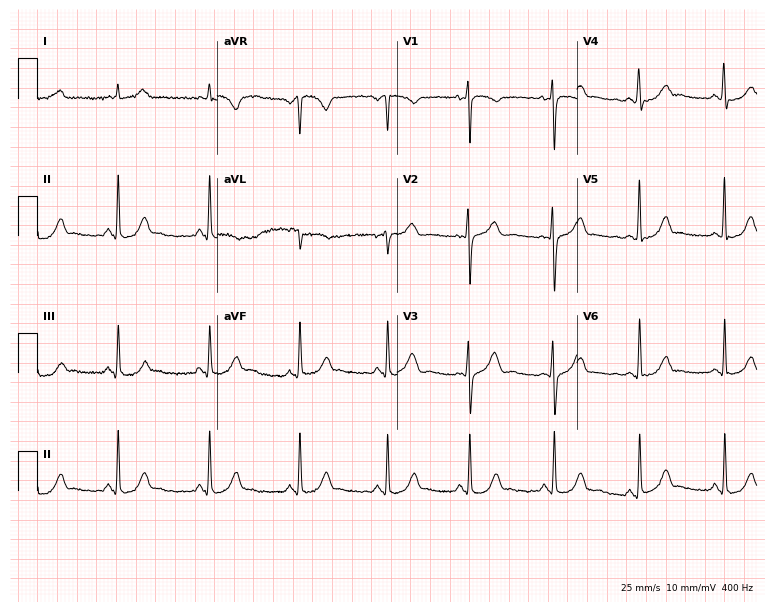
Electrocardiogram (7.3-second recording at 400 Hz), a woman, 29 years old. Overall reading on record: normal ECG.